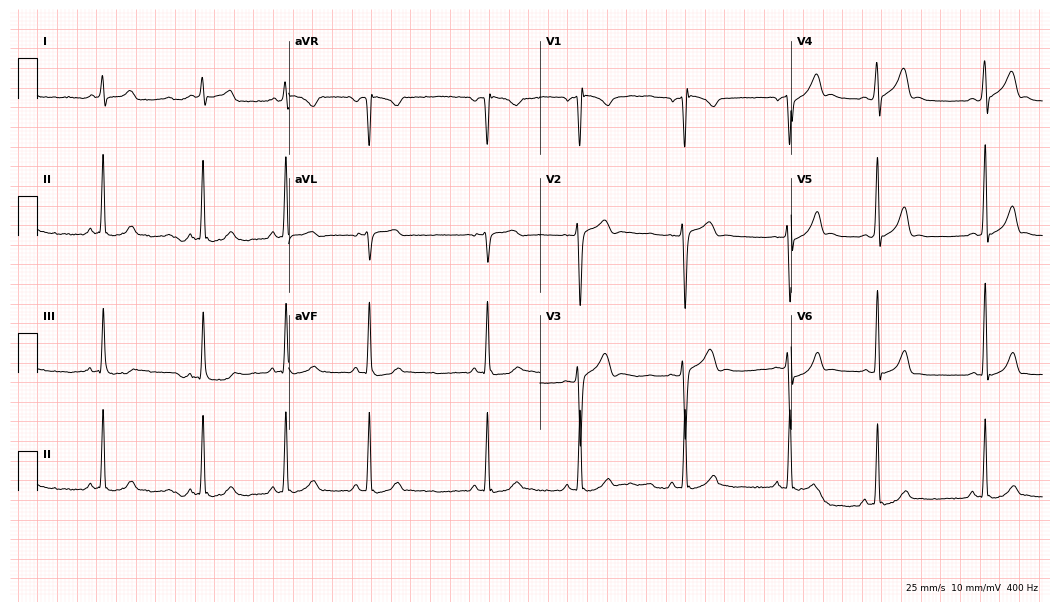
Standard 12-lead ECG recorded from an 18-year-old male. Read as a normal ECG.